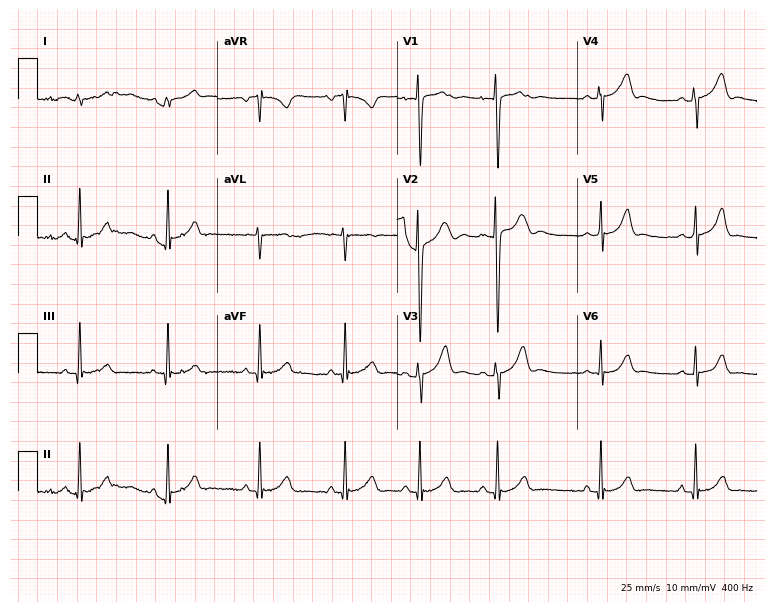
12-lead ECG from a 17-year-old woman (7.3-second recording at 400 Hz). Recorded interpretation: within normal limits.